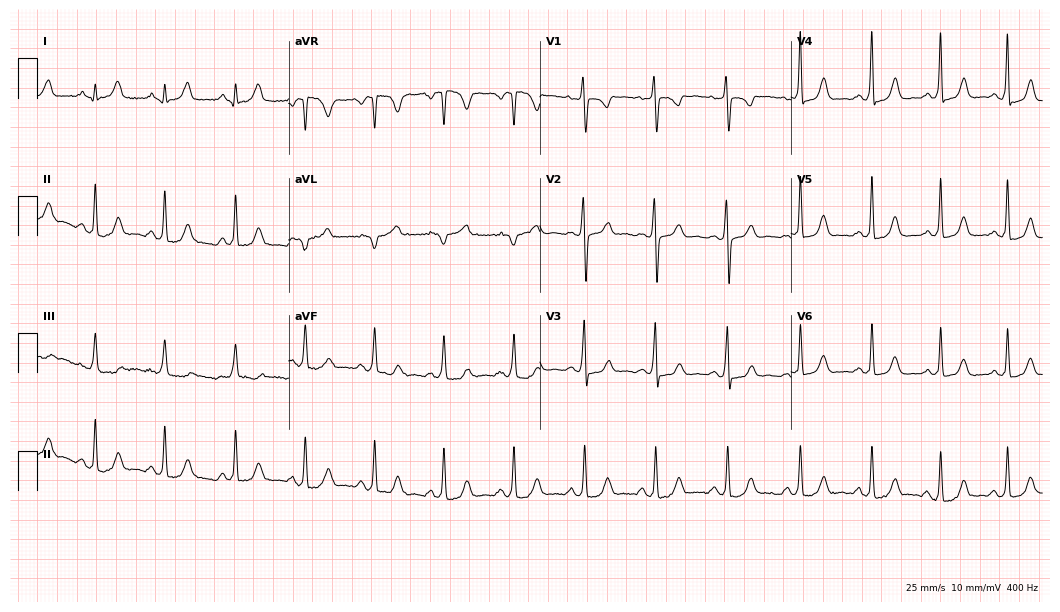
12-lead ECG from a 55-year-old man (10.2-second recording at 400 Hz). No first-degree AV block, right bundle branch block (RBBB), left bundle branch block (LBBB), sinus bradycardia, atrial fibrillation (AF) or sinus tachycardia recorded for this tracing. Only these six findings were labelled.